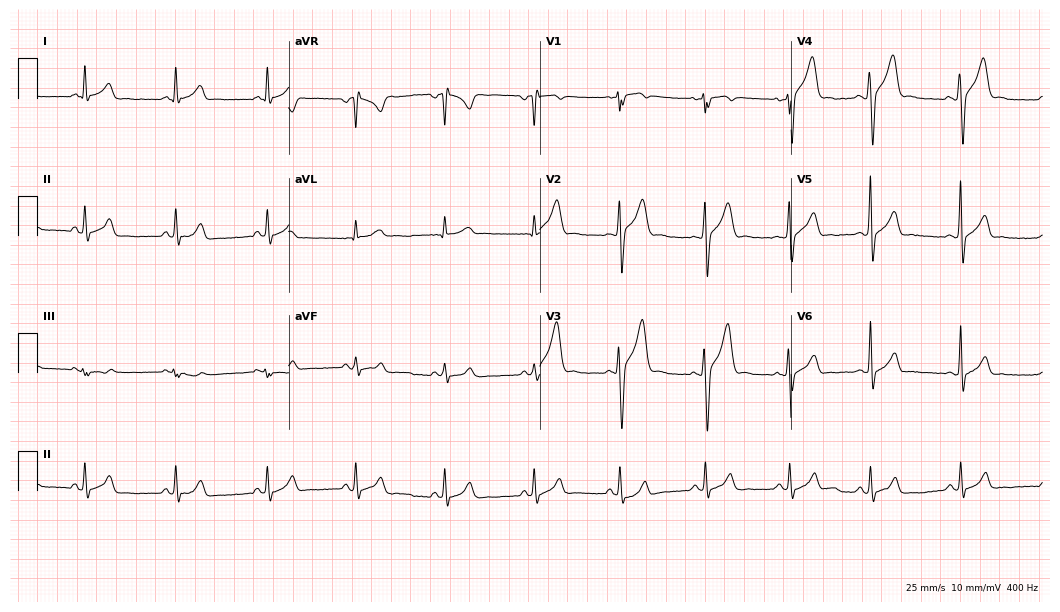
ECG — a male patient, 22 years old. Labelled as a normal ECG.